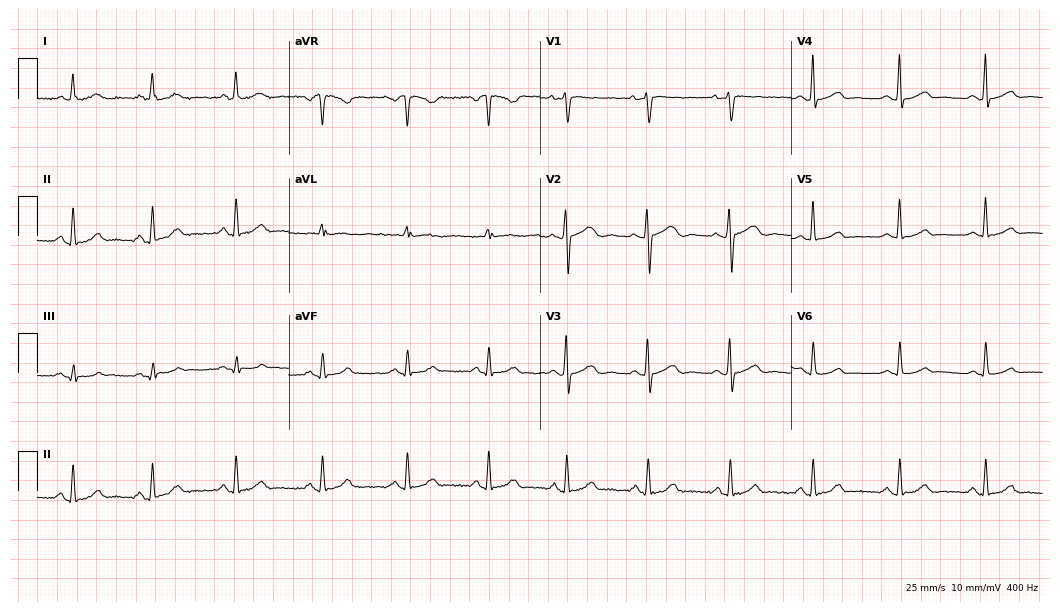
Standard 12-lead ECG recorded from a female, 41 years old (10.2-second recording at 400 Hz). Read as a normal ECG.